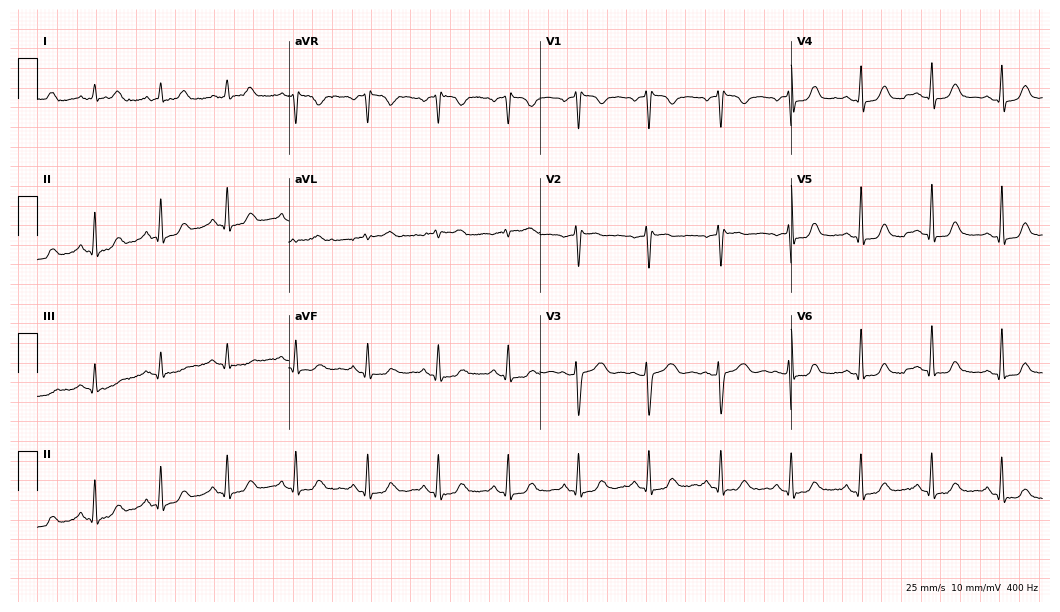
Resting 12-lead electrocardiogram (10.2-second recording at 400 Hz). Patient: a female, 52 years old. None of these six findings is recorded: first-degree AV block, right bundle branch block, left bundle branch block, sinus bradycardia, atrial fibrillation, sinus tachycardia. Findings outside these six are not listed.